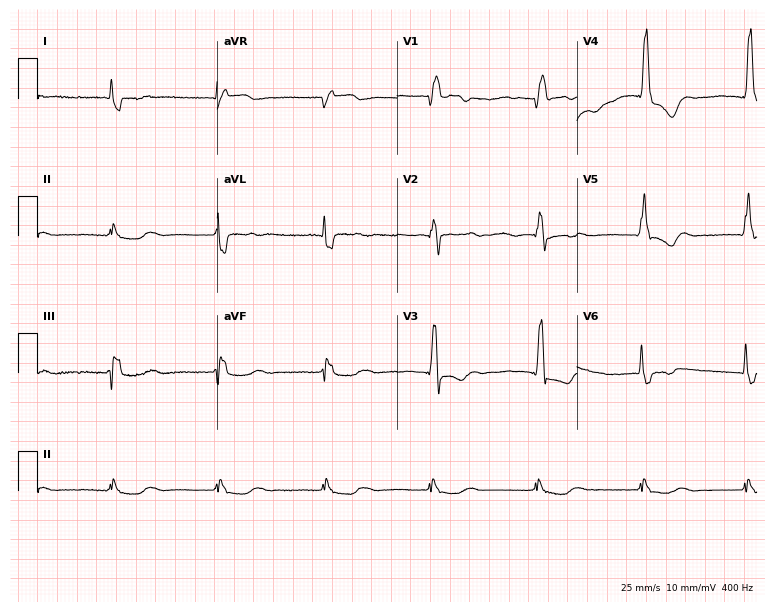
ECG — a 62-year-old woman. Findings include right bundle branch block.